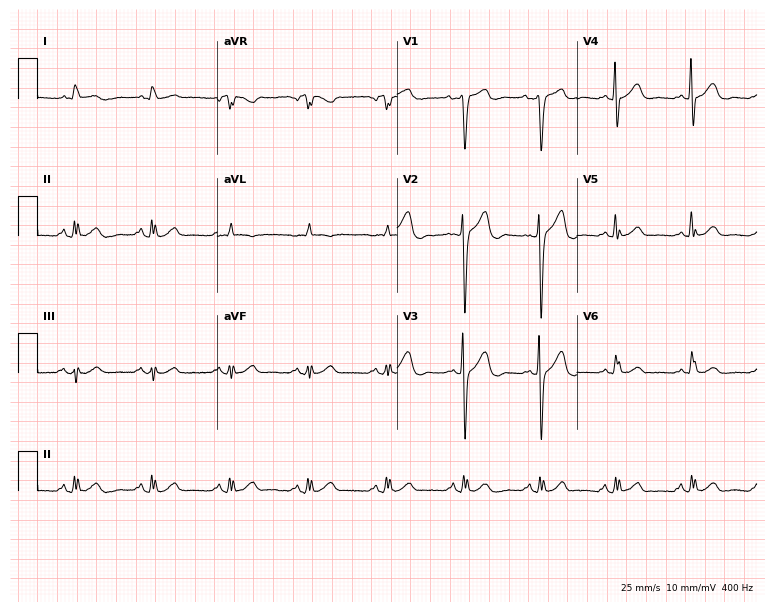
ECG (7.3-second recording at 400 Hz) — a 67-year-old male. Labelled as a normal ECG.